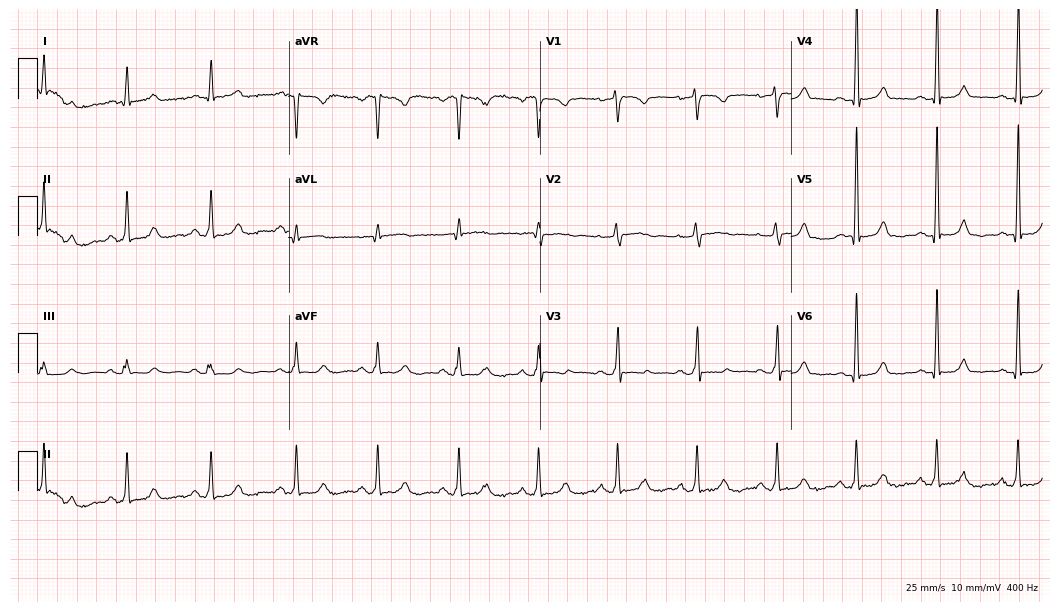
12-lead ECG from a female, 42 years old (10.2-second recording at 400 Hz). Recorded interpretation: within normal limits.